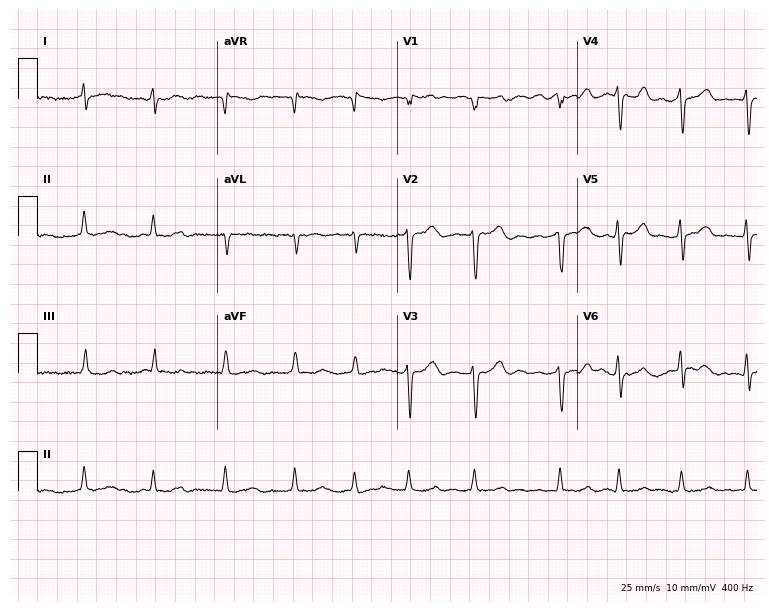
ECG — a 64-year-old female. Findings include atrial fibrillation (AF).